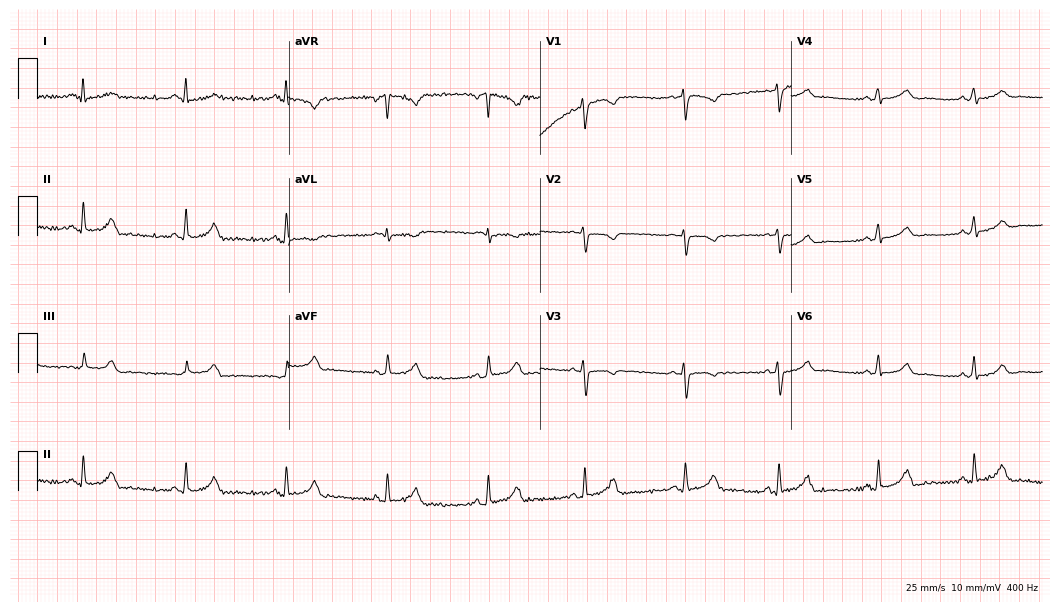
12-lead ECG from a 22-year-old woman. No first-degree AV block, right bundle branch block, left bundle branch block, sinus bradycardia, atrial fibrillation or sinus tachycardia recorded for this tracing. Other findings, if any, are not listed.